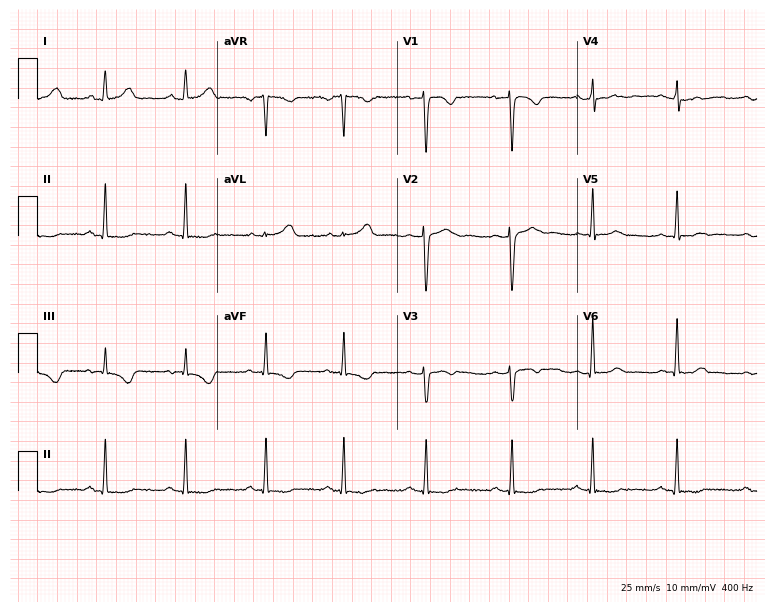
12-lead ECG from a woman, 28 years old (7.3-second recording at 400 Hz). No first-degree AV block, right bundle branch block (RBBB), left bundle branch block (LBBB), sinus bradycardia, atrial fibrillation (AF) or sinus tachycardia recorded for this tracing.